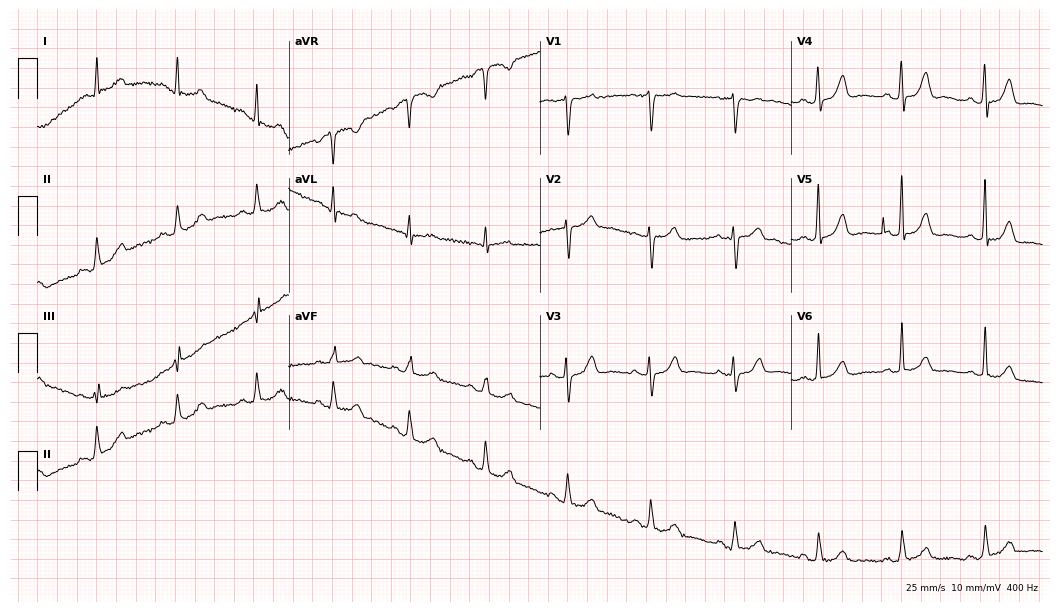
Electrocardiogram, a 49-year-old female. Of the six screened findings (first-degree AV block, right bundle branch block, left bundle branch block, sinus bradycardia, atrial fibrillation, sinus tachycardia), none is recorded. Only these six findings were labelled.